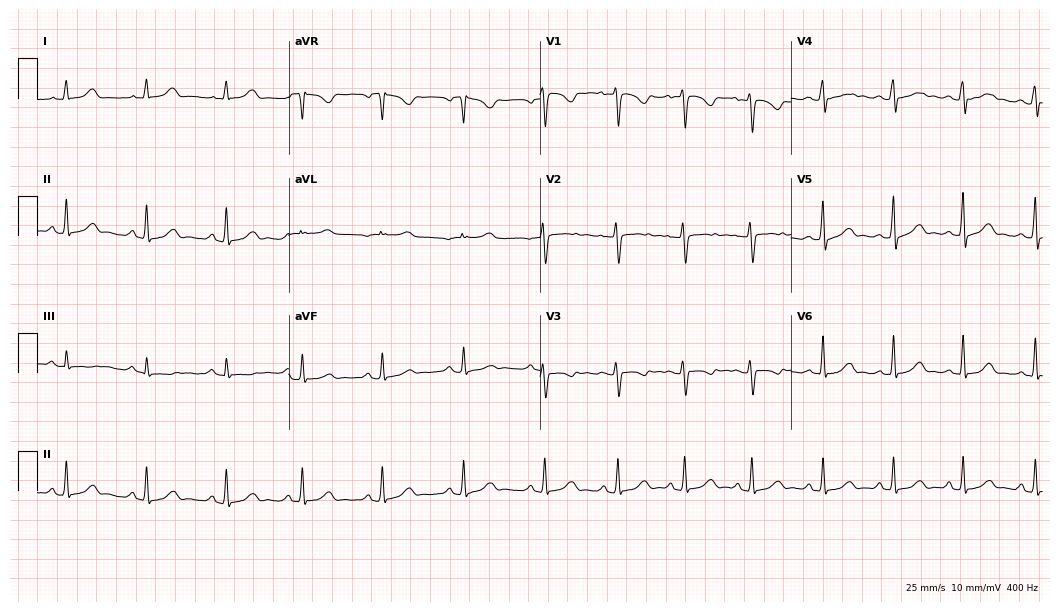
Electrocardiogram, a woman, 35 years old. Overall reading on record: normal ECG.